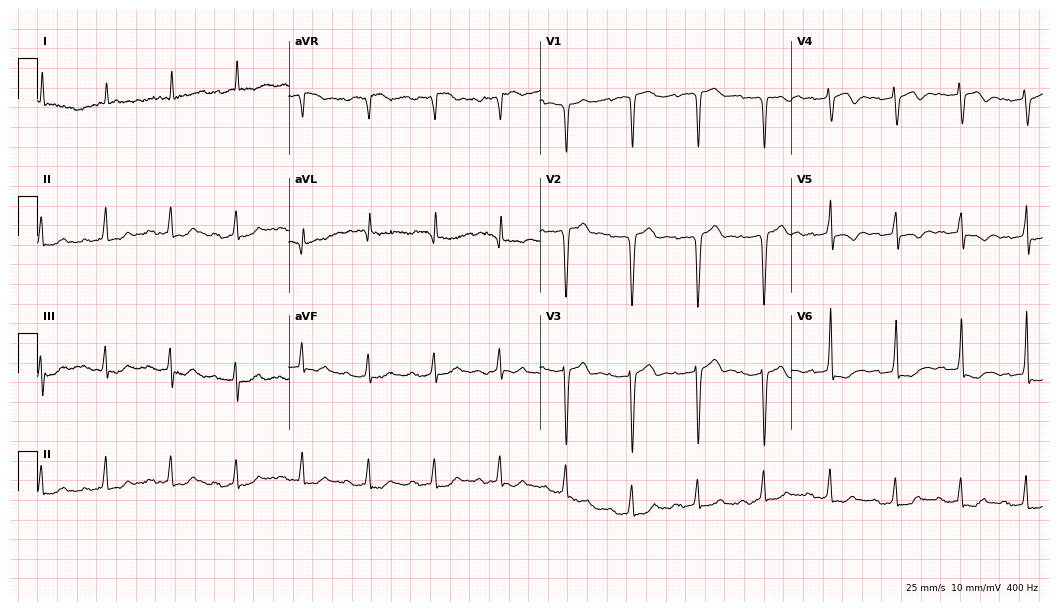
Standard 12-lead ECG recorded from an 85-year-old woman. None of these six findings is recorded: first-degree AV block, right bundle branch block (RBBB), left bundle branch block (LBBB), sinus bradycardia, atrial fibrillation (AF), sinus tachycardia.